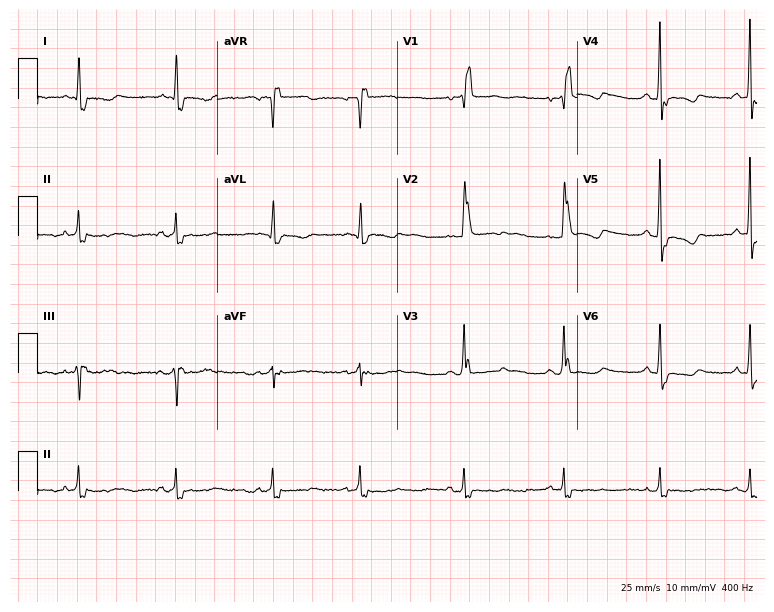
ECG (7.3-second recording at 400 Hz) — a woman, 85 years old. Findings include right bundle branch block.